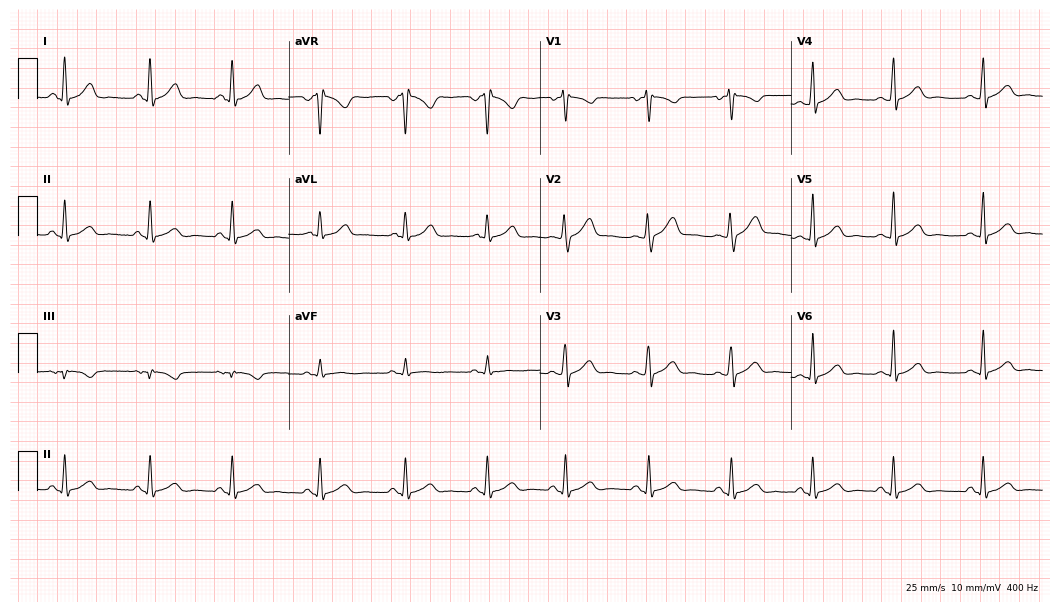
Electrocardiogram (10.2-second recording at 400 Hz), a 33-year-old woman. Overall reading on record: normal ECG.